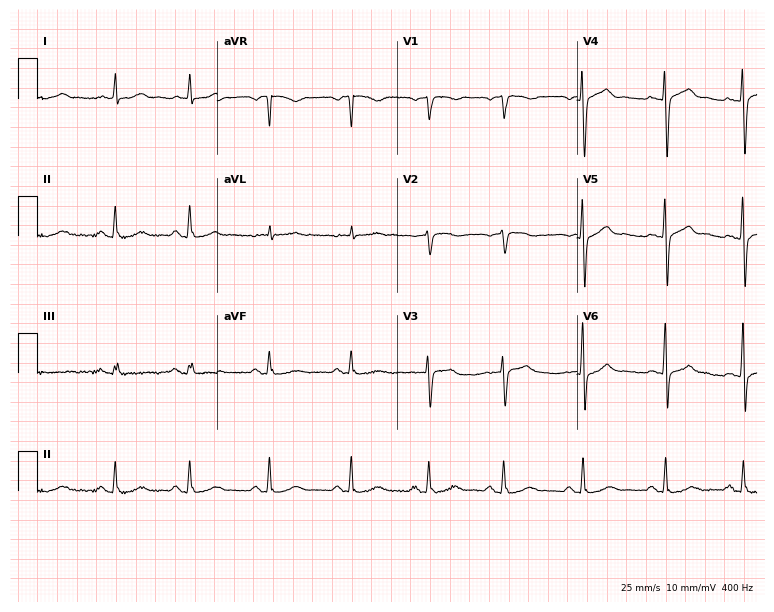
Resting 12-lead electrocardiogram (7.3-second recording at 400 Hz). Patient: a 65-year-old male. Read as a normal ECG.